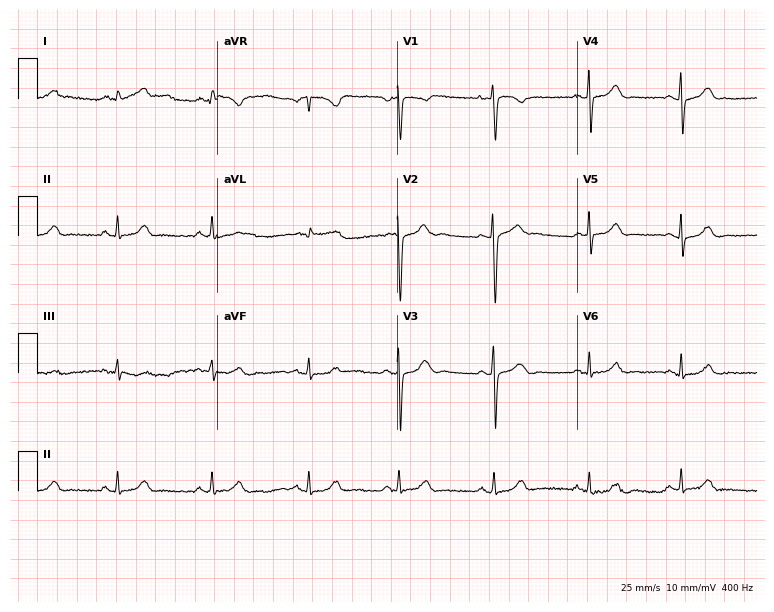
Standard 12-lead ECG recorded from a 35-year-old woman. None of these six findings is recorded: first-degree AV block, right bundle branch block (RBBB), left bundle branch block (LBBB), sinus bradycardia, atrial fibrillation (AF), sinus tachycardia.